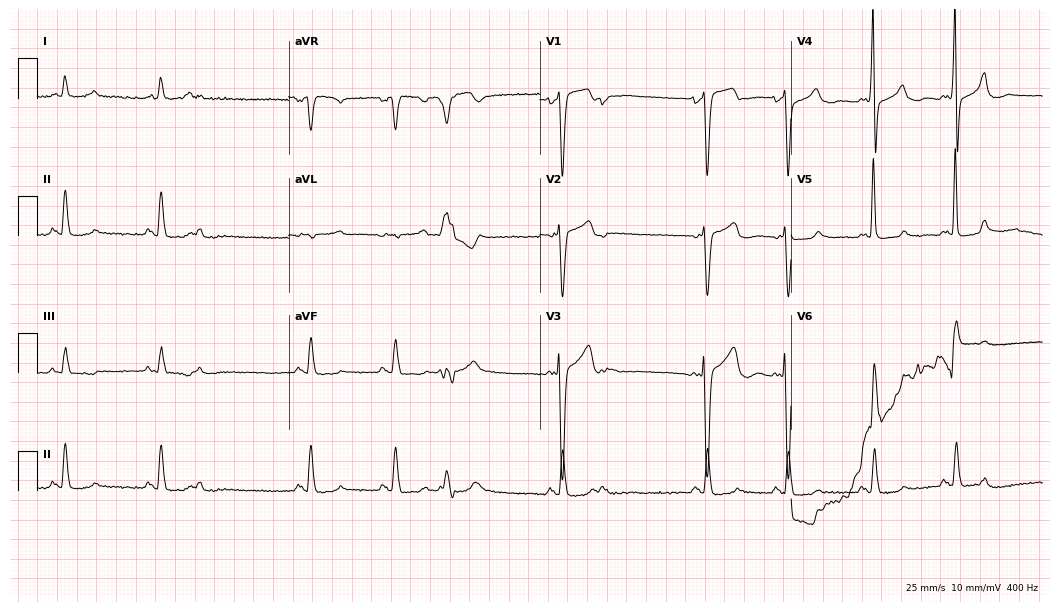
12-lead ECG (10.2-second recording at 400 Hz) from a male patient, 78 years old. Screened for six findings — first-degree AV block, right bundle branch block (RBBB), left bundle branch block (LBBB), sinus bradycardia, atrial fibrillation (AF), sinus tachycardia — none is recorded.